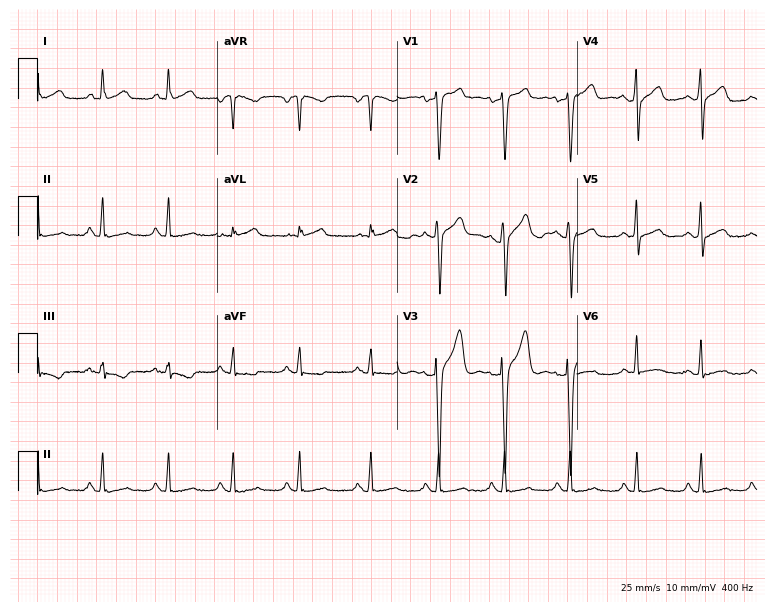
ECG — a 40-year-old male patient. Screened for six findings — first-degree AV block, right bundle branch block, left bundle branch block, sinus bradycardia, atrial fibrillation, sinus tachycardia — none is recorded.